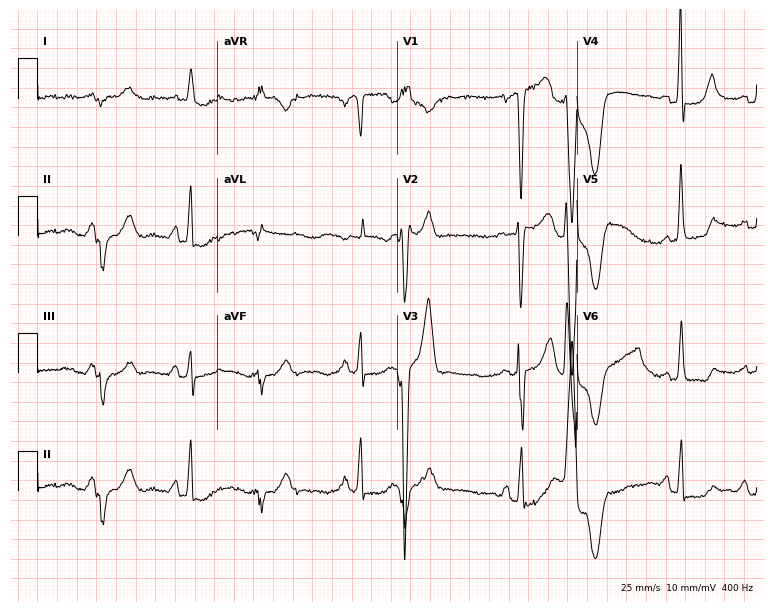
Resting 12-lead electrocardiogram (7.3-second recording at 400 Hz). Patient: a 75-year-old male. None of these six findings is recorded: first-degree AV block, right bundle branch block, left bundle branch block, sinus bradycardia, atrial fibrillation, sinus tachycardia. Only these six findings were labelled.